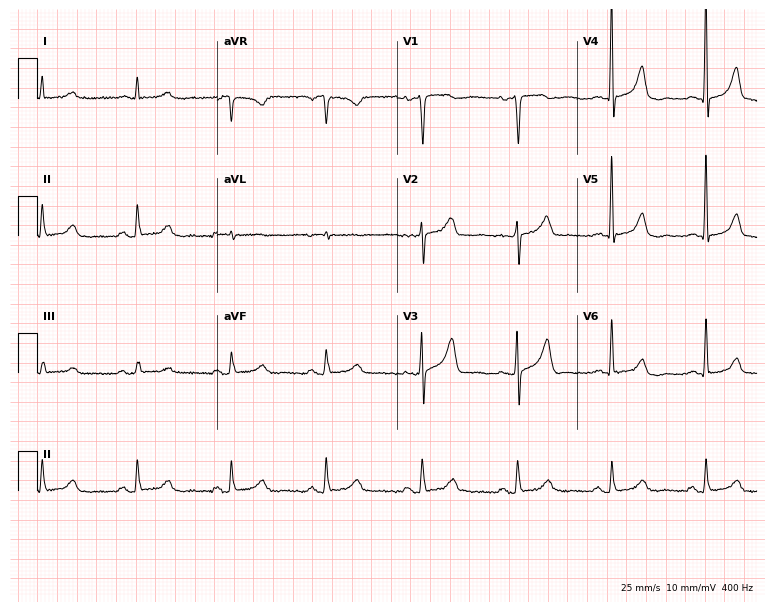
Standard 12-lead ECG recorded from a female, 79 years old (7.3-second recording at 400 Hz). Read as a normal ECG.